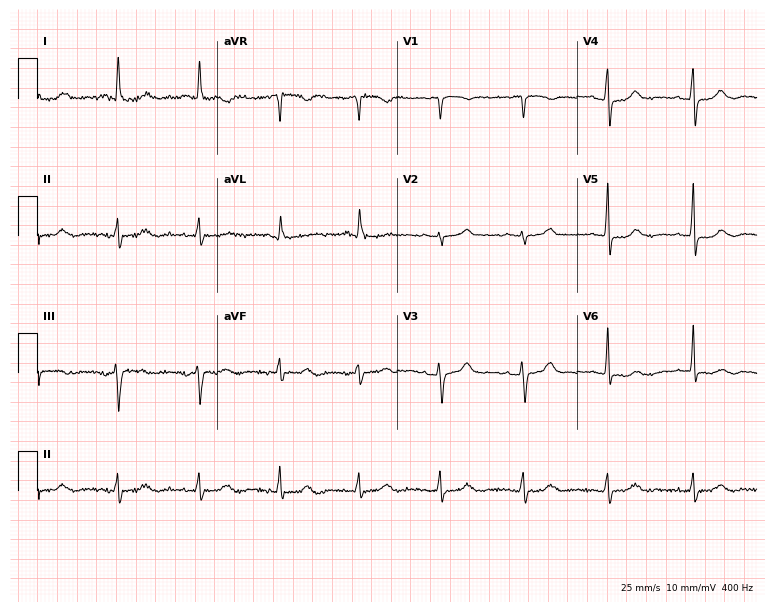
Resting 12-lead electrocardiogram. Patient: a female, 81 years old. Read as a normal ECG.